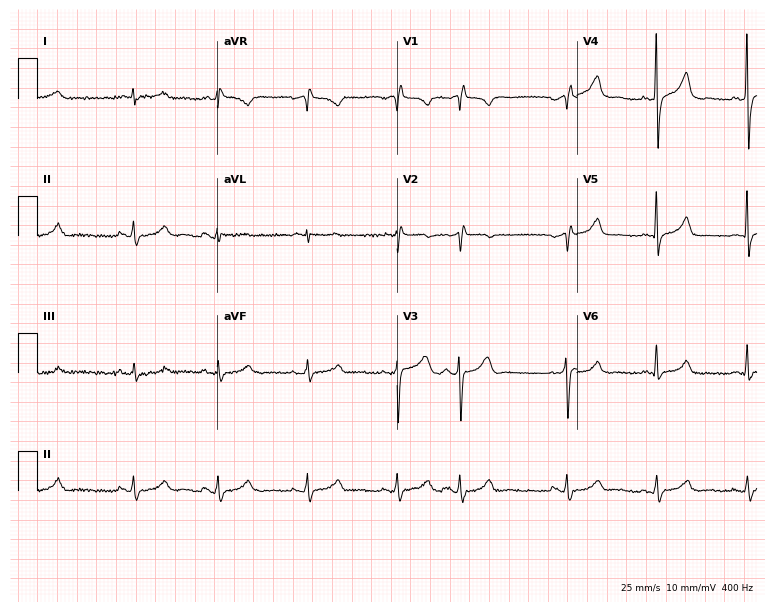
12-lead ECG (7.3-second recording at 400 Hz) from a man, 61 years old. Screened for six findings — first-degree AV block, right bundle branch block, left bundle branch block, sinus bradycardia, atrial fibrillation, sinus tachycardia — none is recorded.